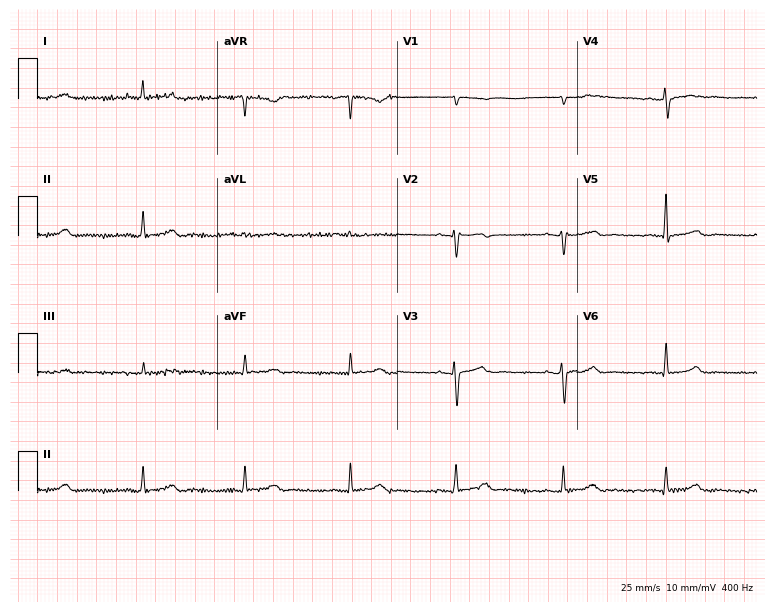
Electrocardiogram, a woman, 47 years old. Of the six screened findings (first-degree AV block, right bundle branch block (RBBB), left bundle branch block (LBBB), sinus bradycardia, atrial fibrillation (AF), sinus tachycardia), none is recorded. Only these six findings were labelled.